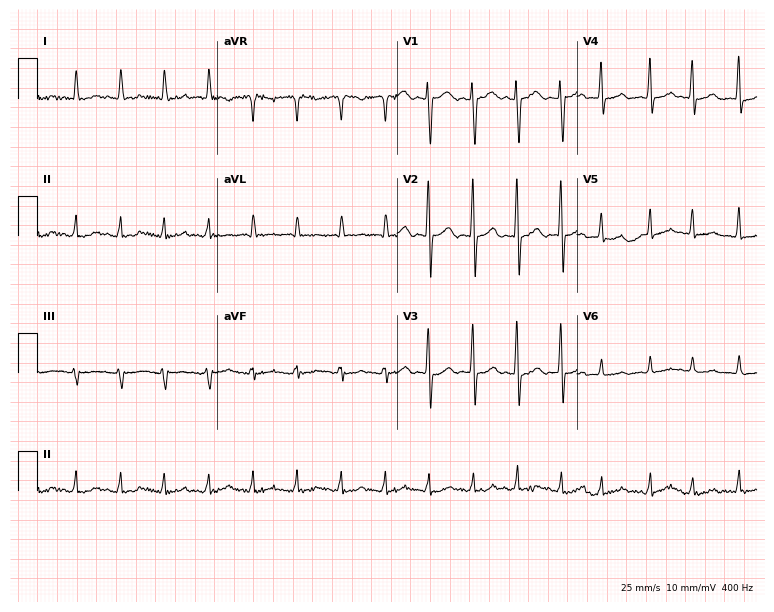
Electrocardiogram (7.3-second recording at 400 Hz), a man, 66 years old. Interpretation includes sinus tachycardia (a sinus rate of 100 beats per minute or more).